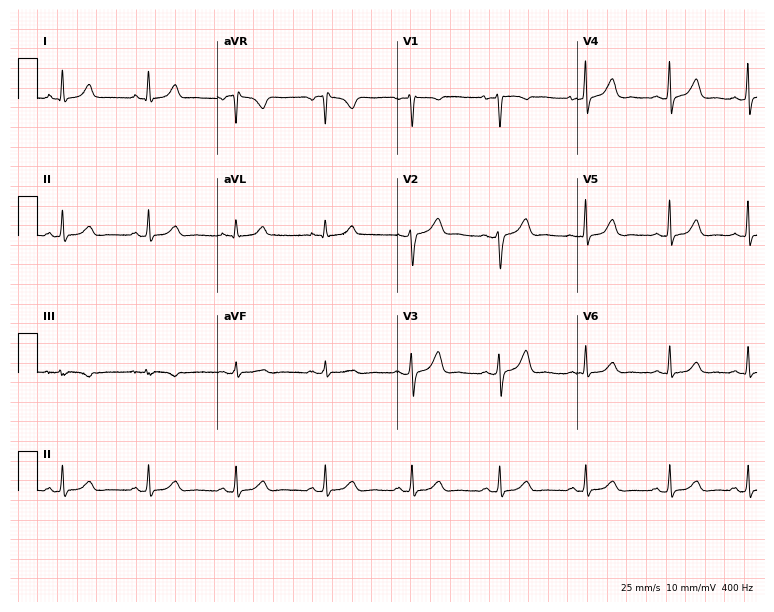
12-lead ECG (7.3-second recording at 400 Hz) from a 35-year-old female patient. Screened for six findings — first-degree AV block, right bundle branch block, left bundle branch block, sinus bradycardia, atrial fibrillation, sinus tachycardia — none is recorded.